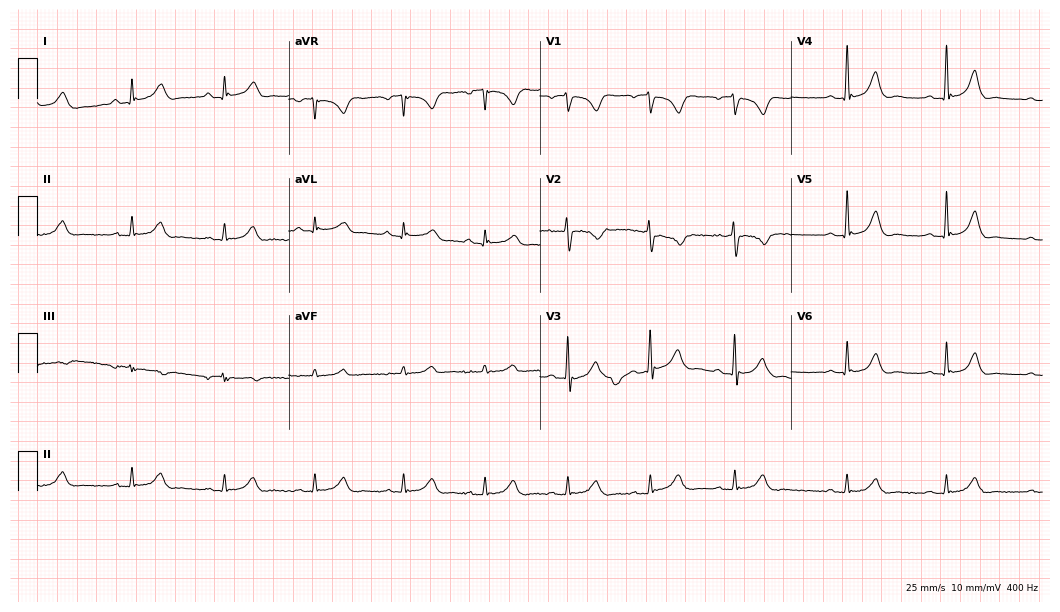
Resting 12-lead electrocardiogram (10.2-second recording at 400 Hz). Patient: a male, 54 years old. Read as a normal ECG.